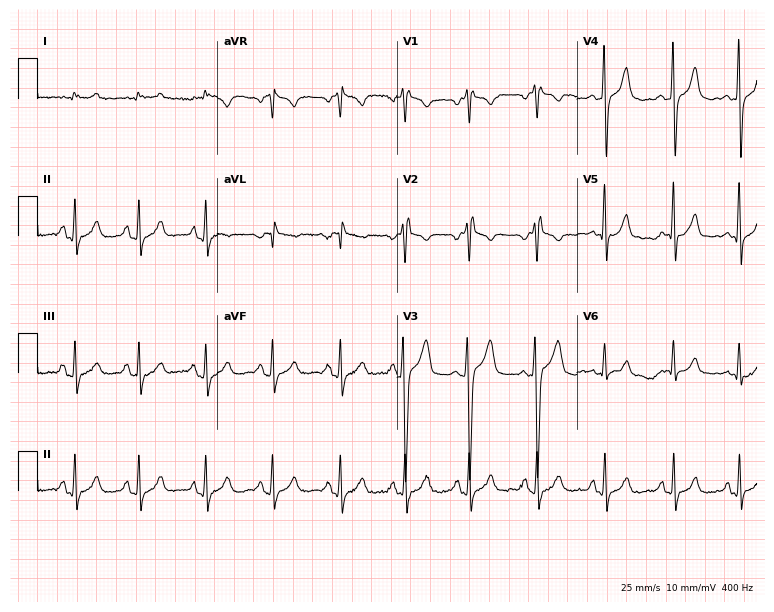
ECG — a male patient, 19 years old. Labelled as a normal ECG.